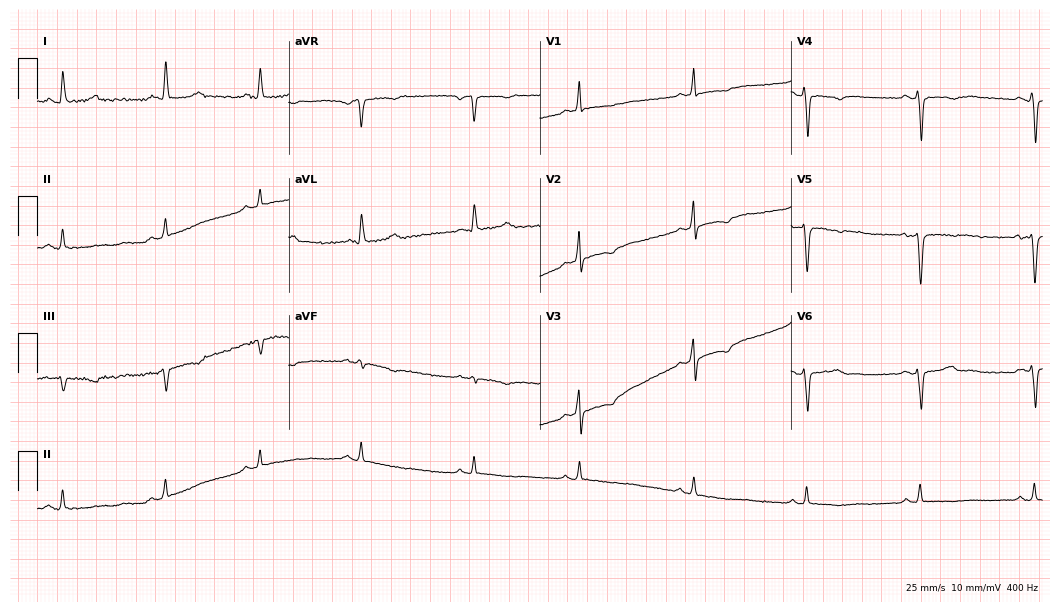
ECG — a 70-year-old woman. Screened for six findings — first-degree AV block, right bundle branch block, left bundle branch block, sinus bradycardia, atrial fibrillation, sinus tachycardia — none is recorded.